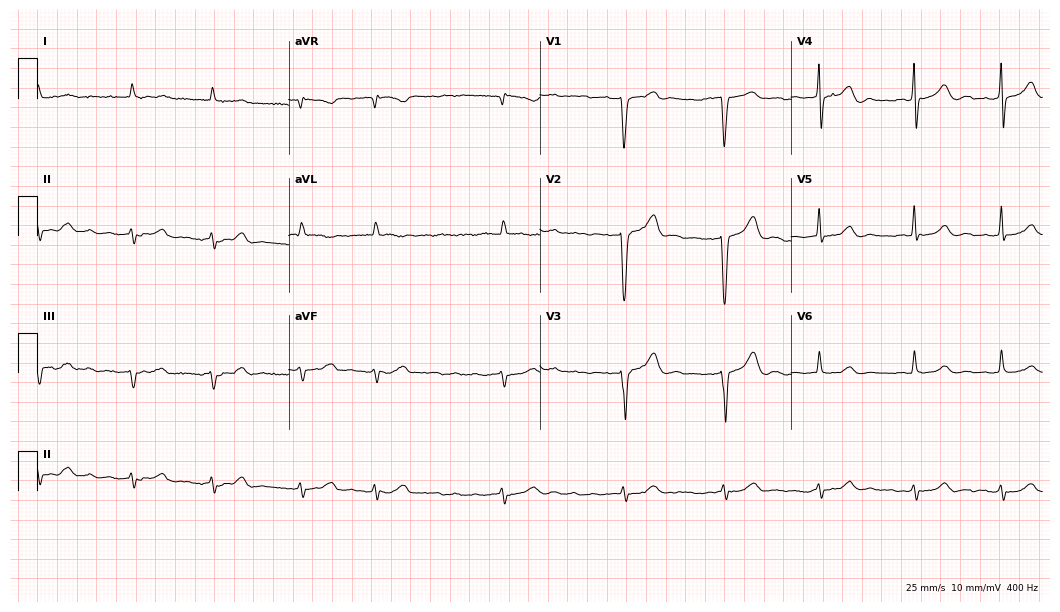
ECG — a male, 83 years old. Findings include atrial fibrillation (AF).